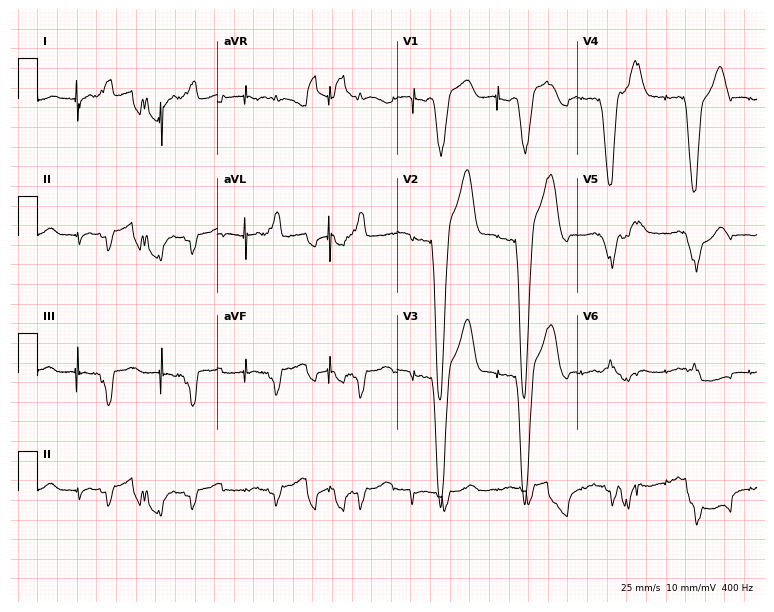
Electrocardiogram (7.3-second recording at 400 Hz), an 86-year-old male. Of the six screened findings (first-degree AV block, right bundle branch block, left bundle branch block, sinus bradycardia, atrial fibrillation, sinus tachycardia), none is recorded.